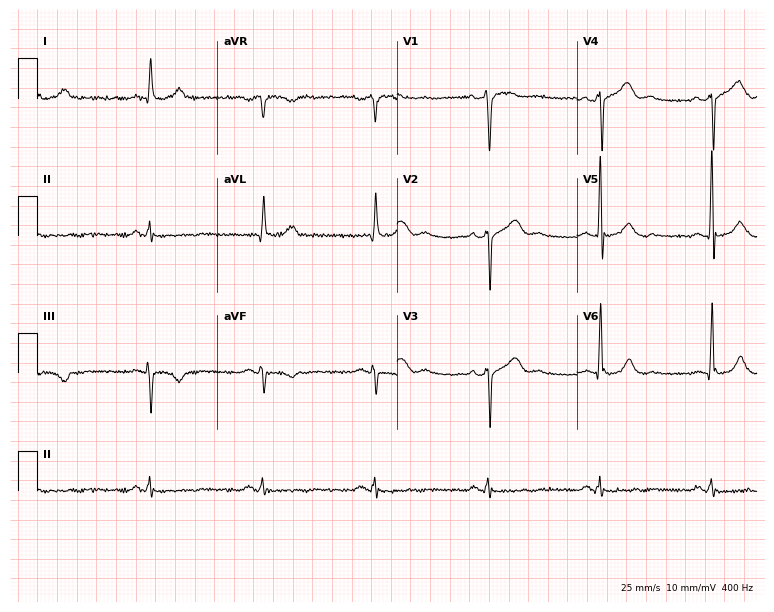
Electrocardiogram, a man, 53 years old. Of the six screened findings (first-degree AV block, right bundle branch block, left bundle branch block, sinus bradycardia, atrial fibrillation, sinus tachycardia), none is recorded.